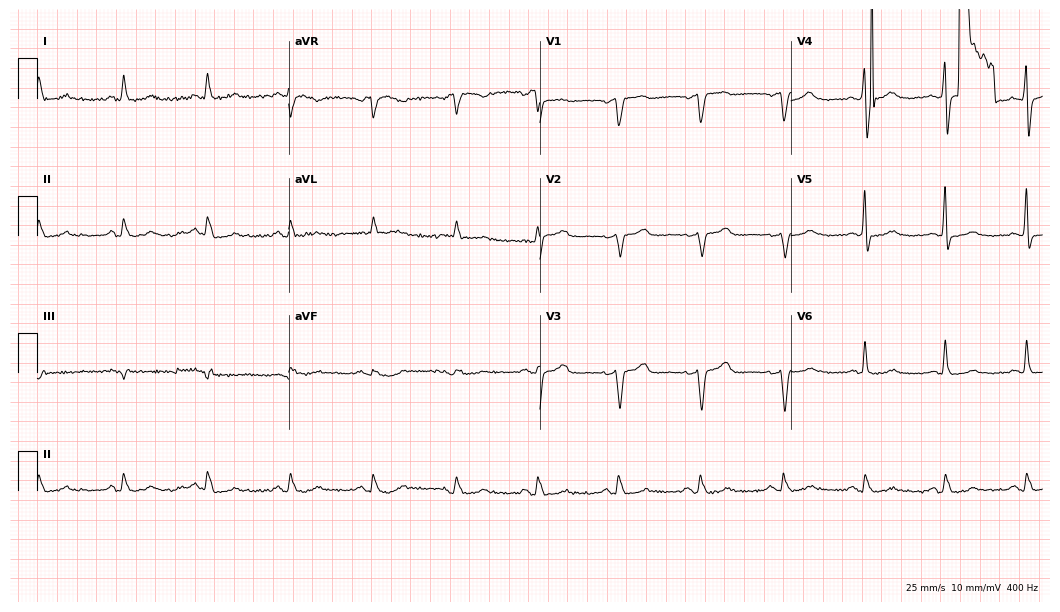
Resting 12-lead electrocardiogram. Patient: a 77-year-old female. None of these six findings is recorded: first-degree AV block, right bundle branch block (RBBB), left bundle branch block (LBBB), sinus bradycardia, atrial fibrillation (AF), sinus tachycardia.